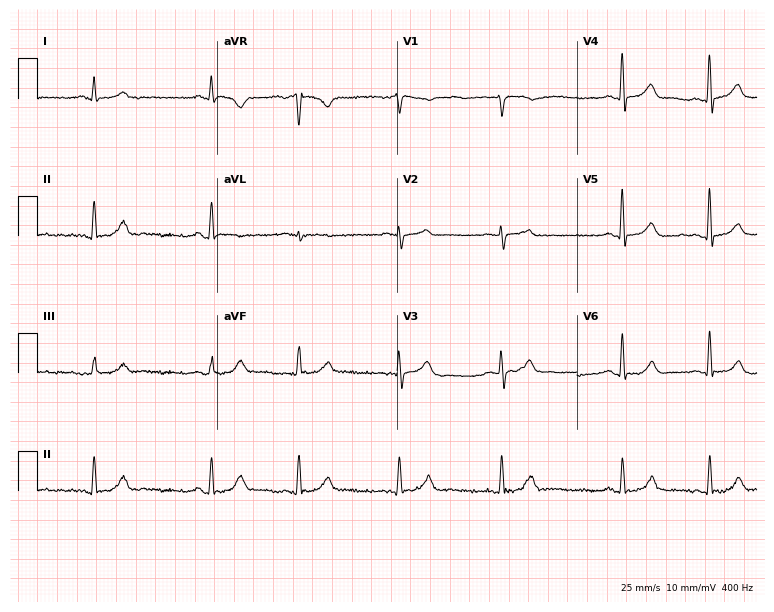
12-lead ECG from a male patient, 73 years old (7.3-second recording at 400 Hz). Recorded interpretation: within normal limits.